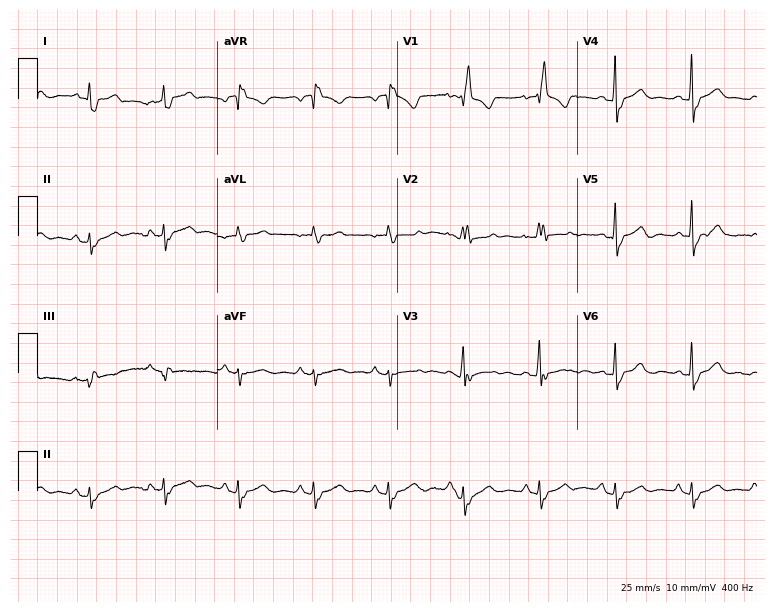
12-lead ECG from a female, 39 years old (7.3-second recording at 400 Hz). Shows right bundle branch block.